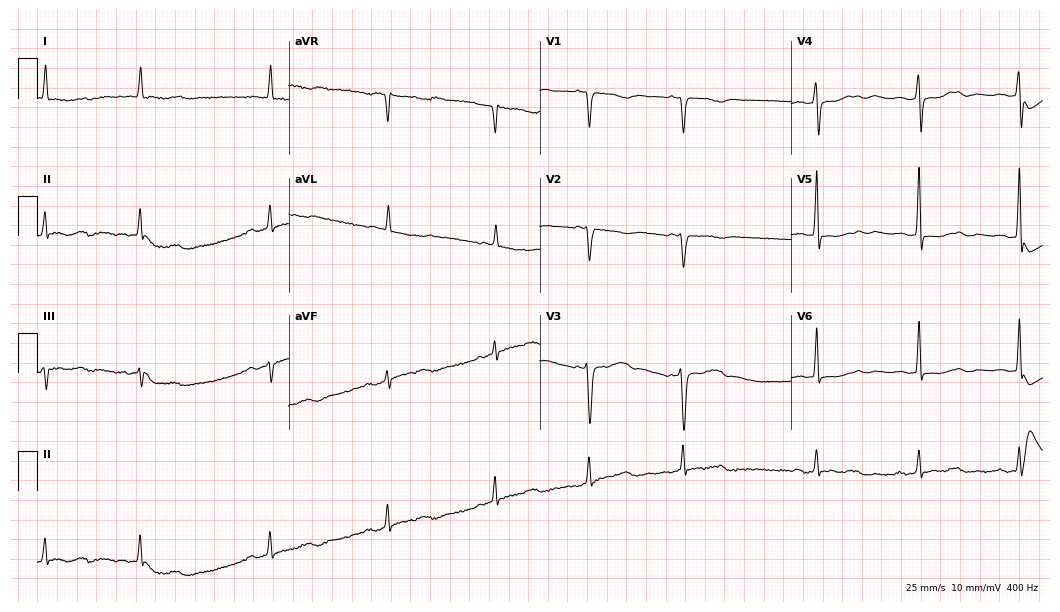
ECG (10.2-second recording at 400 Hz) — a 78-year-old female patient. Screened for six findings — first-degree AV block, right bundle branch block, left bundle branch block, sinus bradycardia, atrial fibrillation, sinus tachycardia — none is recorded. Findings outside these six are not listed.